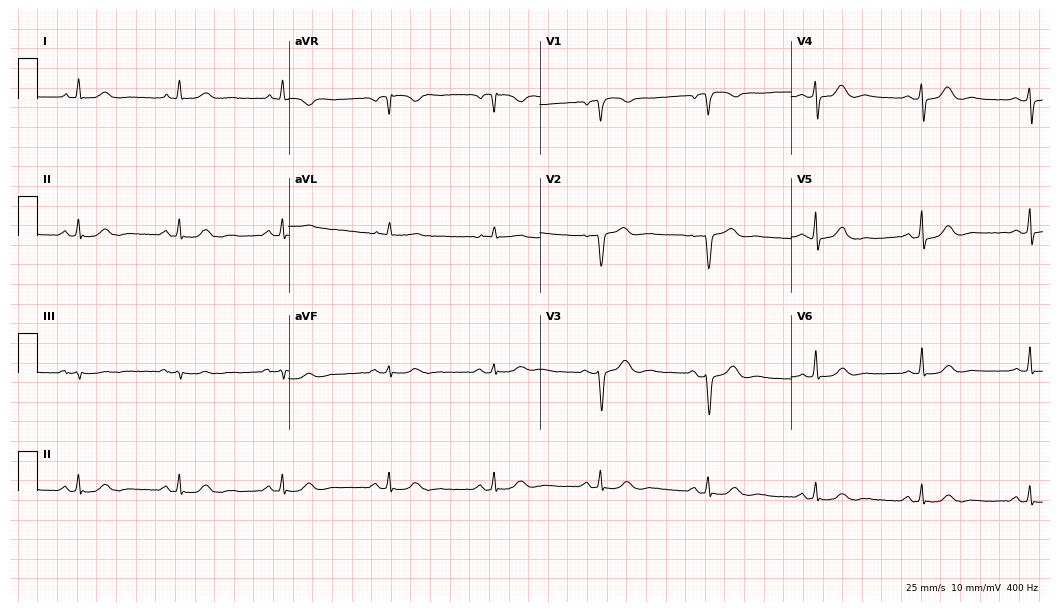
Electrocardiogram, a 61-year-old woman. Of the six screened findings (first-degree AV block, right bundle branch block (RBBB), left bundle branch block (LBBB), sinus bradycardia, atrial fibrillation (AF), sinus tachycardia), none is recorded. Only these six findings were labelled.